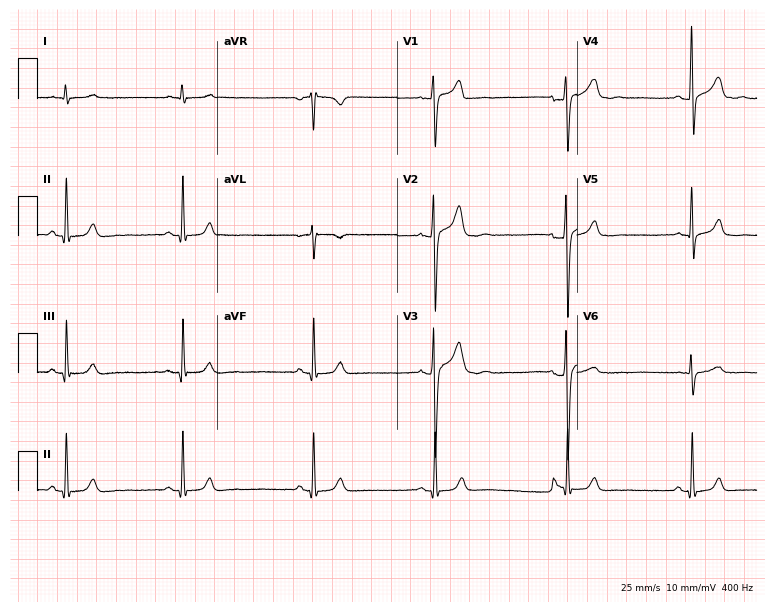
Resting 12-lead electrocardiogram (7.3-second recording at 400 Hz). Patient: a male, 20 years old. The tracing shows sinus bradycardia (a sinus rate of 50 beats per minute or less).